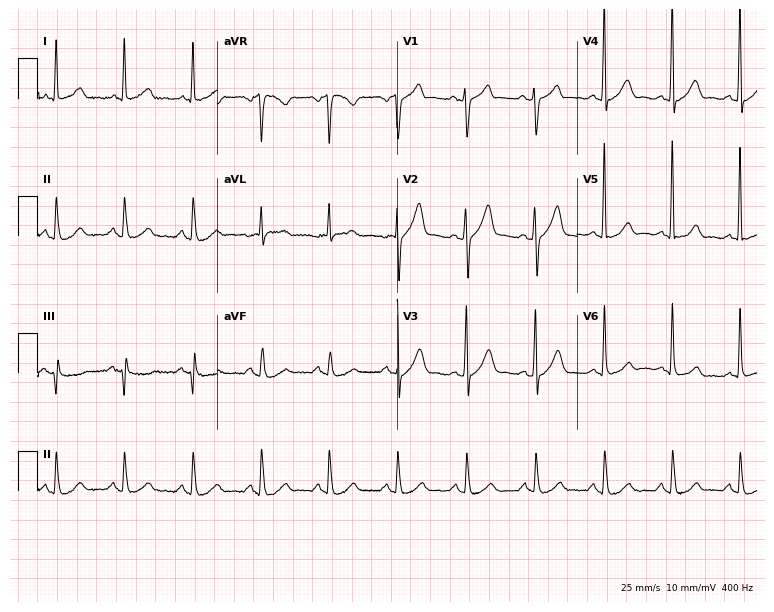
12-lead ECG (7.3-second recording at 400 Hz) from a 61-year-old male. Labelled as a normal ECG.